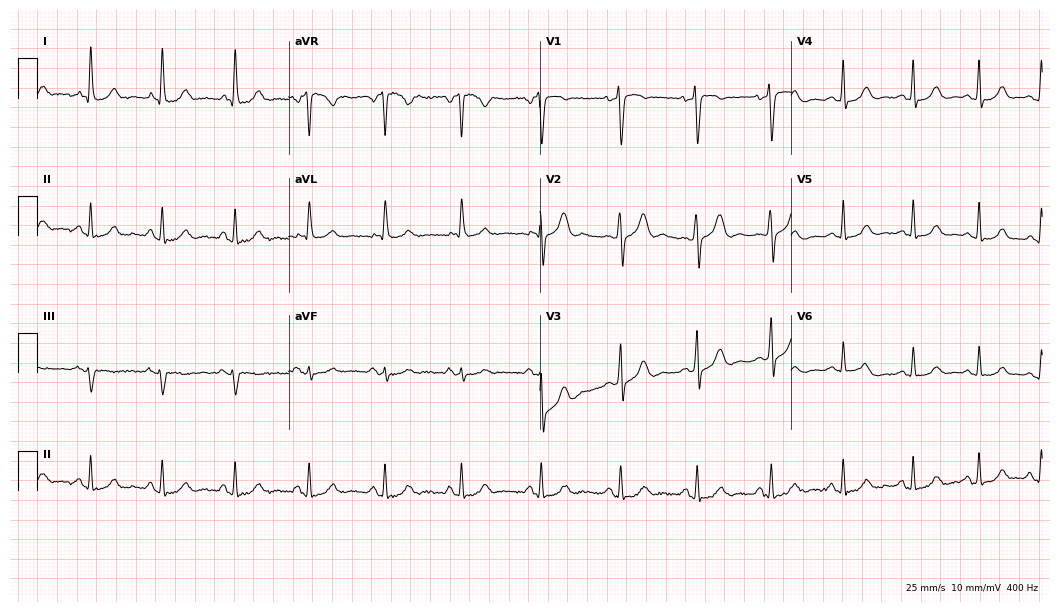
Standard 12-lead ECG recorded from a 52-year-old female patient. None of these six findings is recorded: first-degree AV block, right bundle branch block, left bundle branch block, sinus bradycardia, atrial fibrillation, sinus tachycardia. Findings outside these six are not listed.